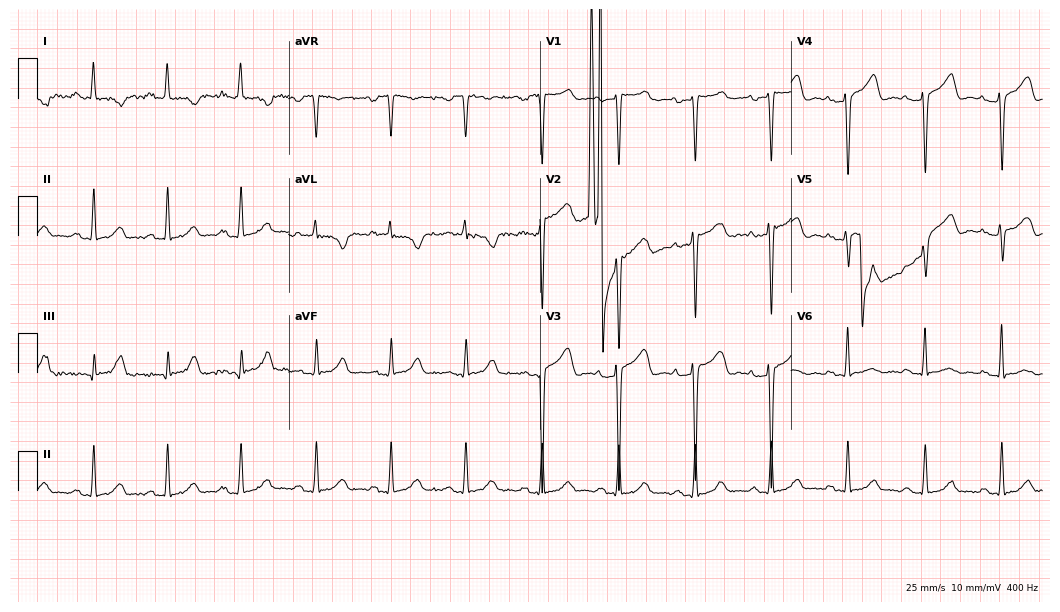
Resting 12-lead electrocardiogram. Patient: a 66-year-old female. None of these six findings is recorded: first-degree AV block, right bundle branch block, left bundle branch block, sinus bradycardia, atrial fibrillation, sinus tachycardia. Other findings, if any, are not listed.